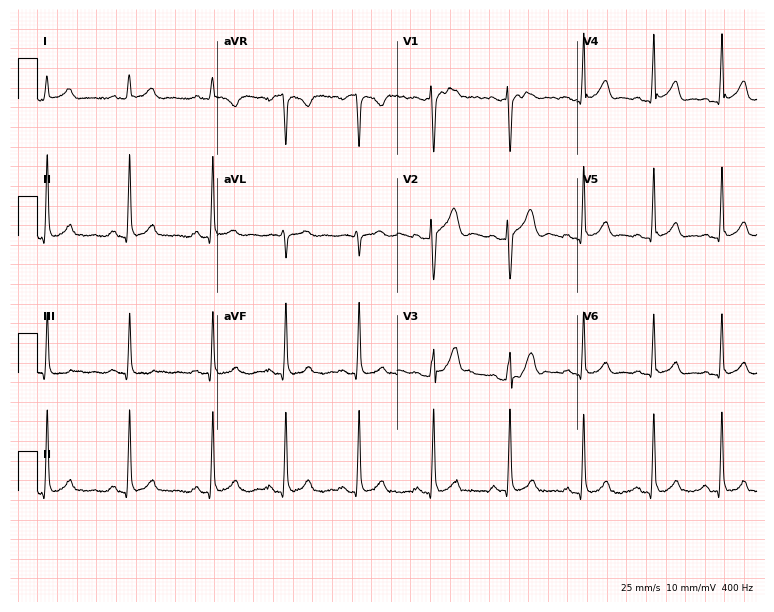
Electrocardiogram (7.3-second recording at 400 Hz), a 29-year-old man. Of the six screened findings (first-degree AV block, right bundle branch block, left bundle branch block, sinus bradycardia, atrial fibrillation, sinus tachycardia), none is recorded. Findings outside these six are not listed.